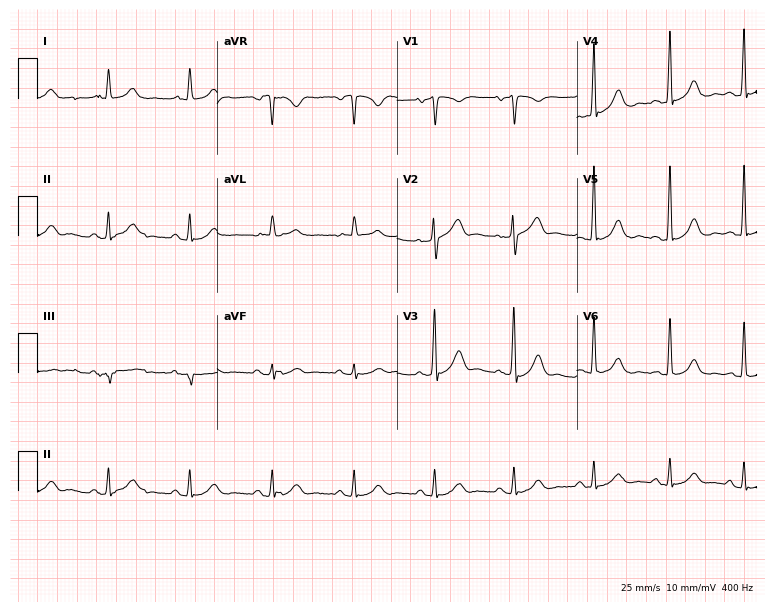
ECG — a 64-year-old female patient. Screened for six findings — first-degree AV block, right bundle branch block, left bundle branch block, sinus bradycardia, atrial fibrillation, sinus tachycardia — none is recorded. Other findings, if any, are not listed.